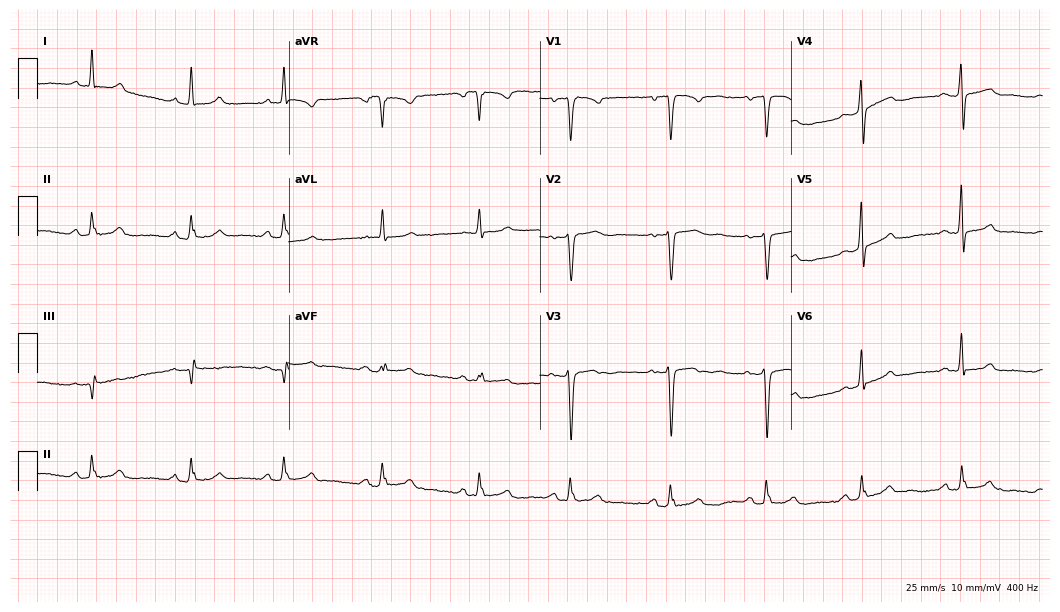
12-lead ECG (10.2-second recording at 400 Hz) from a female, 53 years old. Screened for six findings — first-degree AV block, right bundle branch block, left bundle branch block, sinus bradycardia, atrial fibrillation, sinus tachycardia — none is recorded. Other findings, if any, are not listed.